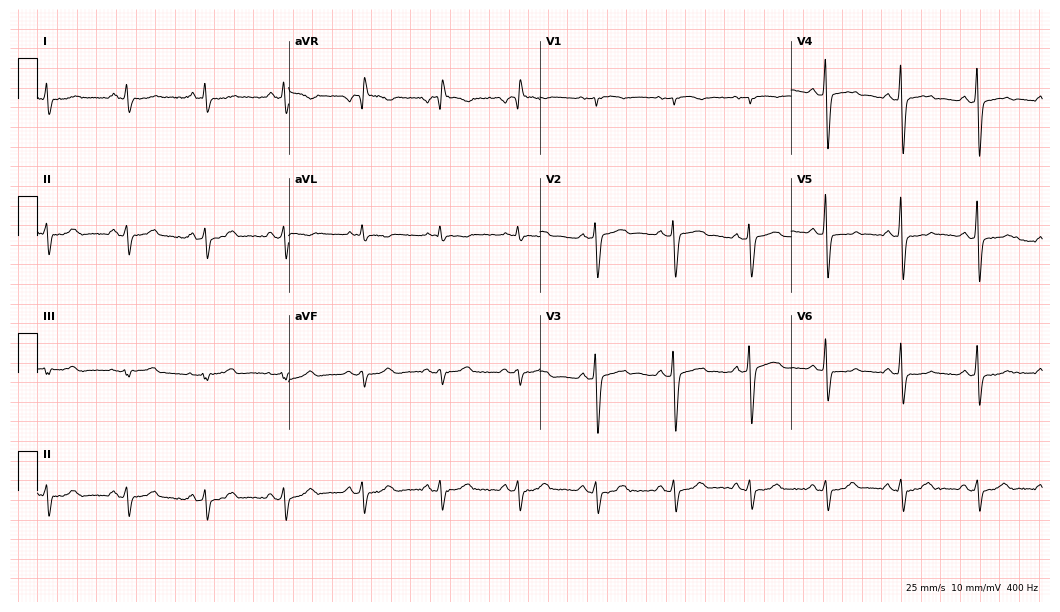
Resting 12-lead electrocardiogram (10.2-second recording at 400 Hz). Patient: a male, 65 years old. None of these six findings is recorded: first-degree AV block, right bundle branch block (RBBB), left bundle branch block (LBBB), sinus bradycardia, atrial fibrillation (AF), sinus tachycardia.